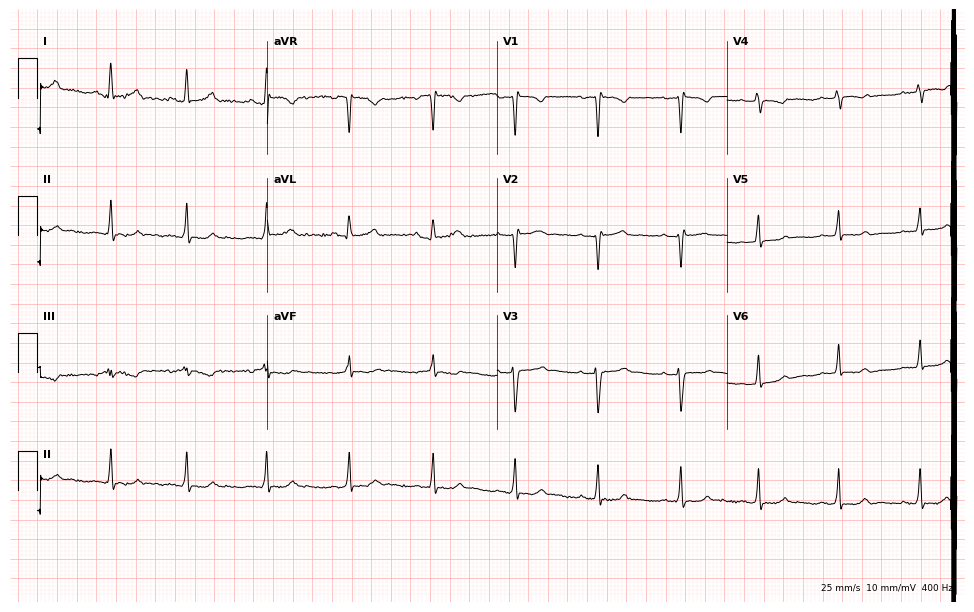
12-lead ECG (9.4-second recording at 400 Hz) from a 29-year-old woman. Screened for six findings — first-degree AV block, right bundle branch block, left bundle branch block, sinus bradycardia, atrial fibrillation, sinus tachycardia — none is recorded. Other findings, if any, are not listed.